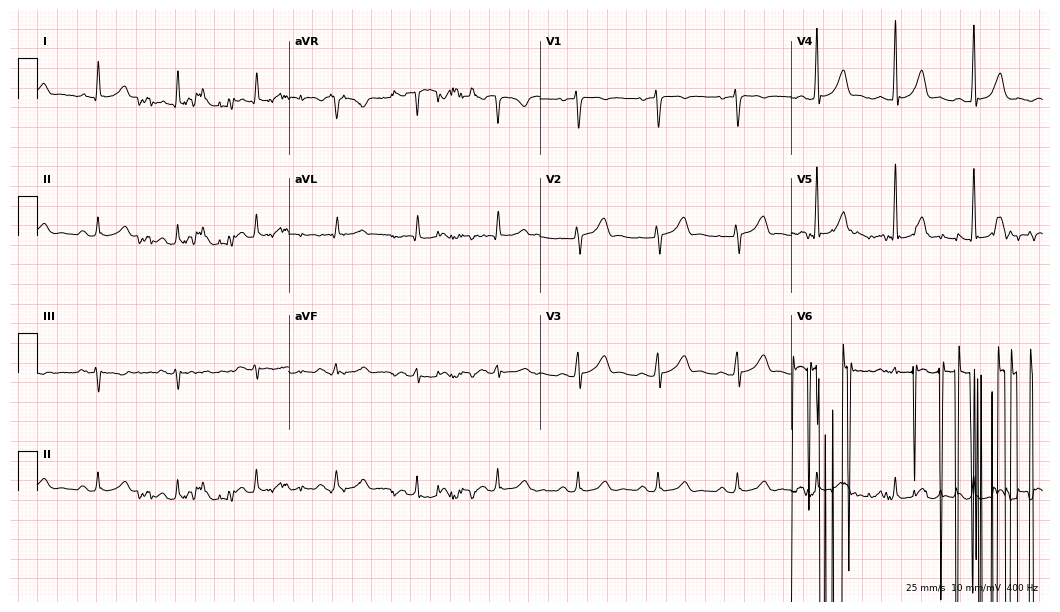
ECG (10.2-second recording at 400 Hz) — a female, 49 years old. Screened for six findings — first-degree AV block, right bundle branch block, left bundle branch block, sinus bradycardia, atrial fibrillation, sinus tachycardia — none is recorded. Other findings, if any, are not listed.